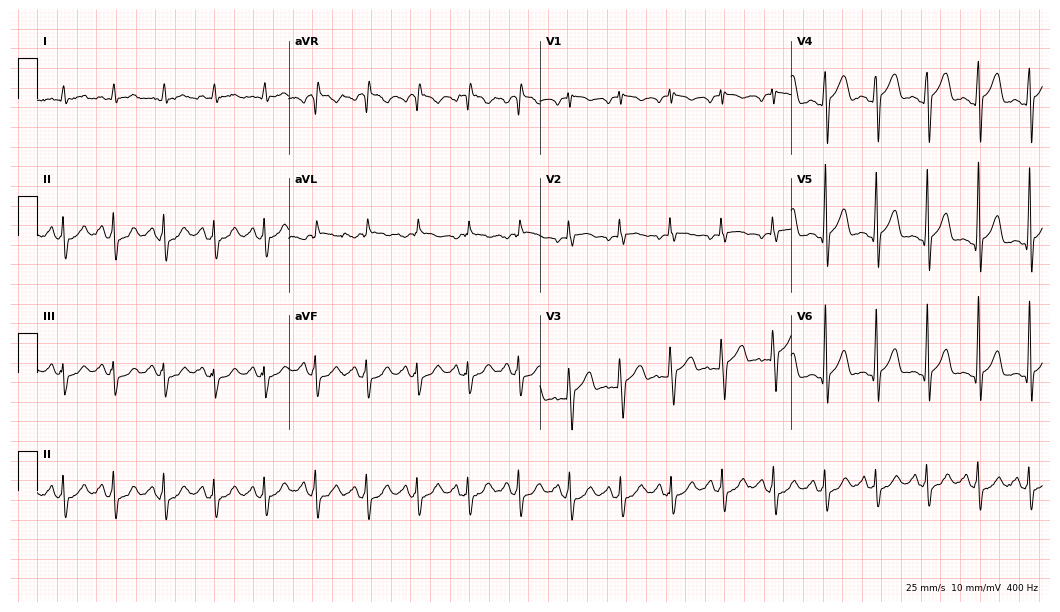
ECG (10.2-second recording at 400 Hz) — a man, 62 years old. Screened for six findings — first-degree AV block, right bundle branch block, left bundle branch block, sinus bradycardia, atrial fibrillation, sinus tachycardia — none is recorded.